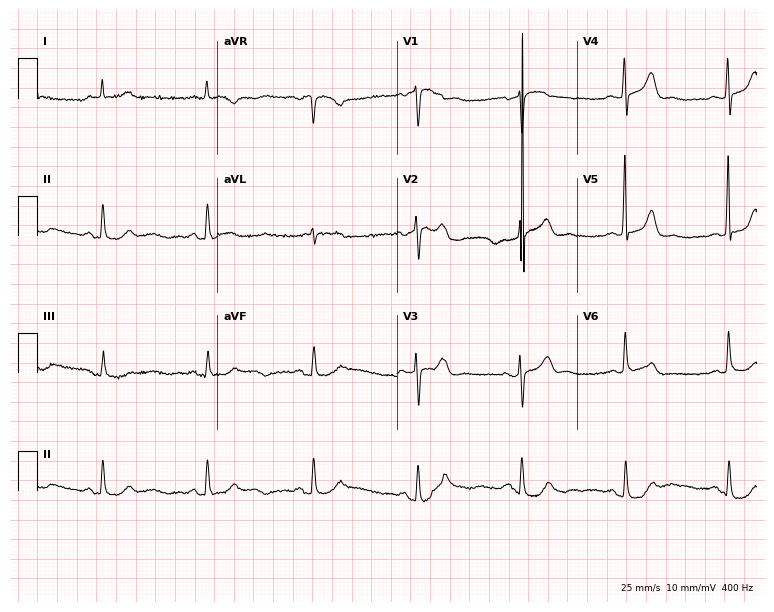
ECG (7.3-second recording at 400 Hz) — a male patient, 68 years old. Labelled as a normal ECG.